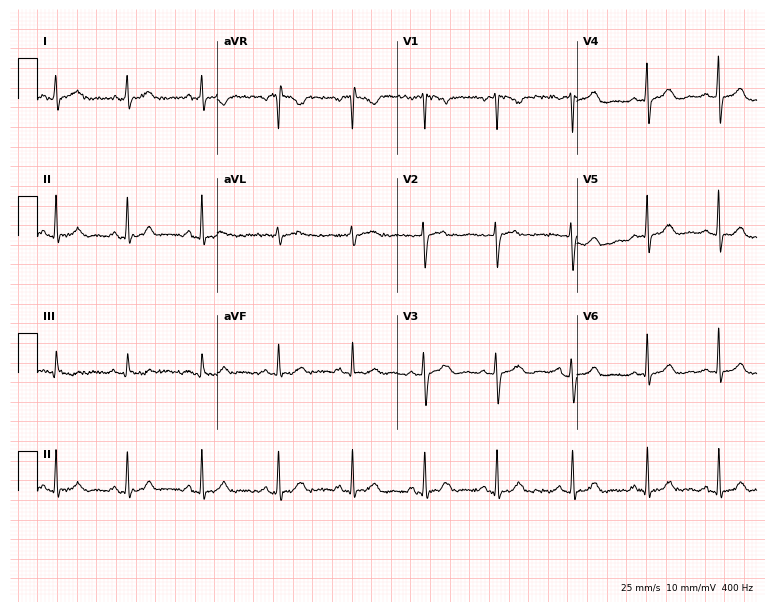
12-lead ECG (7.3-second recording at 400 Hz) from a female patient, 41 years old. Labelled as a normal ECG.